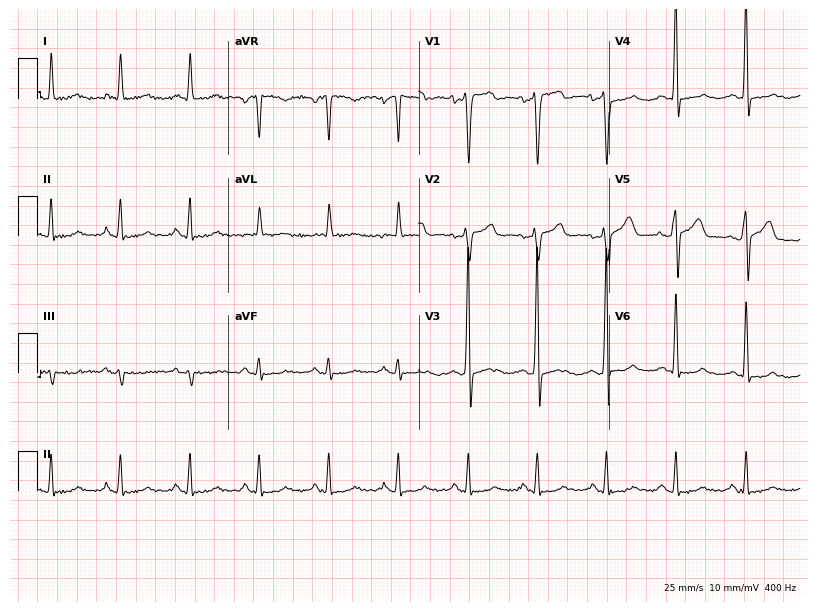
12-lead ECG from a male, 70 years old (7.8-second recording at 400 Hz). No first-degree AV block, right bundle branch block, left bundle branch block, sinus bradycardia, atrial fibrillation or sinus tachycardia recorded for this tracing. Findings outside these six are not listed.